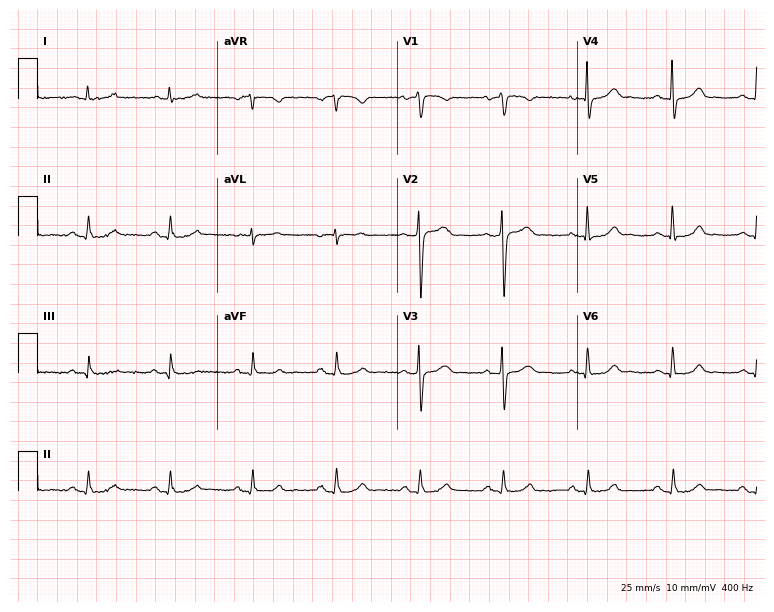
Standard 12-lead ECG recorded from a 78-year-old male (7.3-second recording at 400 Hz). Read as a normal ECG.